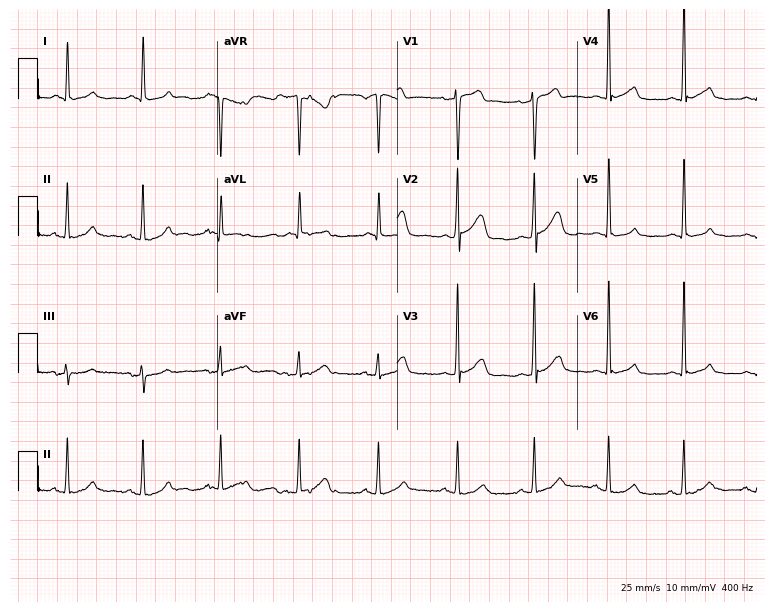
ECG — a 57-year-old male patient. Screened for six findings — first-degree AV block, right bundle branch block (RBBB), left bundle branch block (LBBB), sinus bradycardia, atrial fibrillation (AF), sinus tachycardia — none is recorded. Other findings, if any, are not listed.